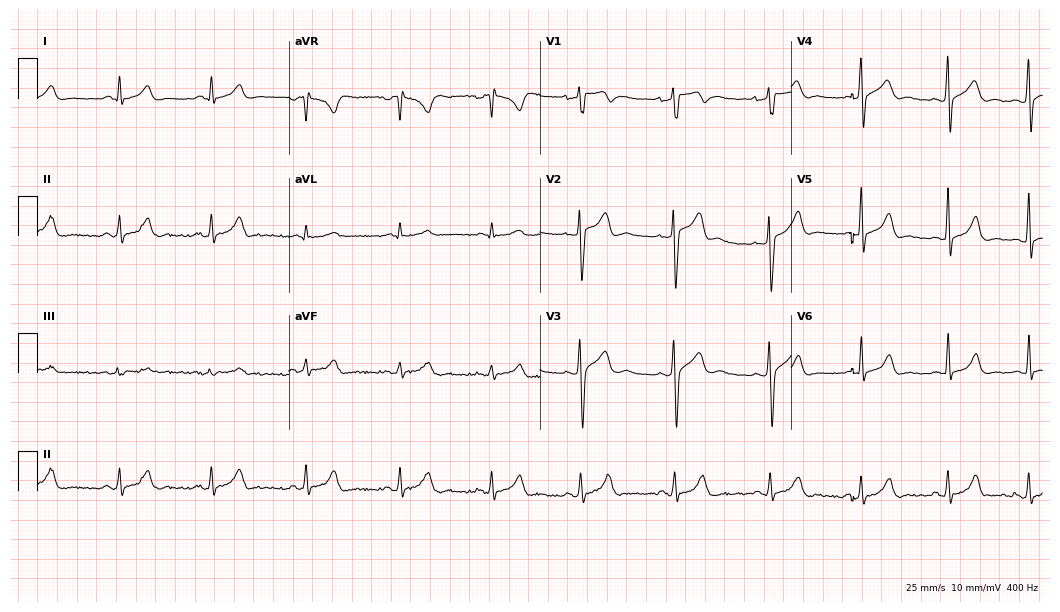
Standard 12-lead ECG recorded from a 30-year-old male patient. Read as a normal ECG.